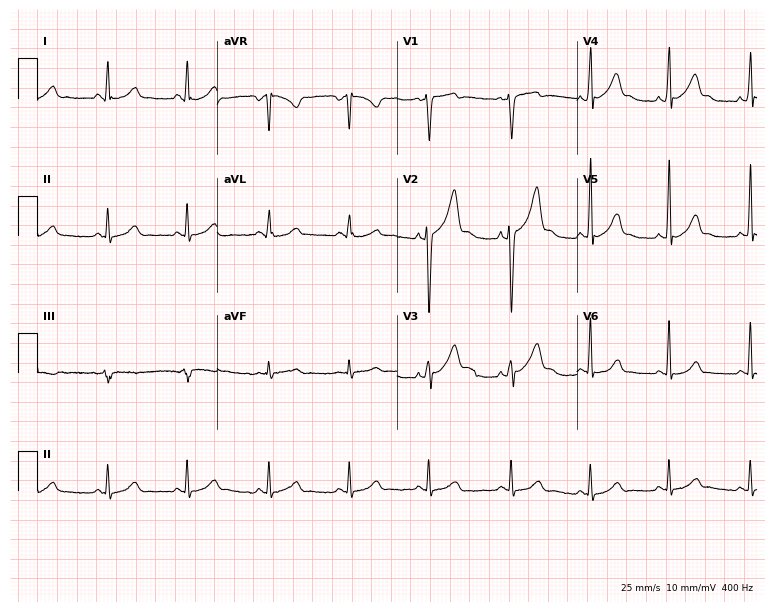
Resting 12-lead electrocardiogram. Patient: a 17-year-old male. Read as a normal ECG.